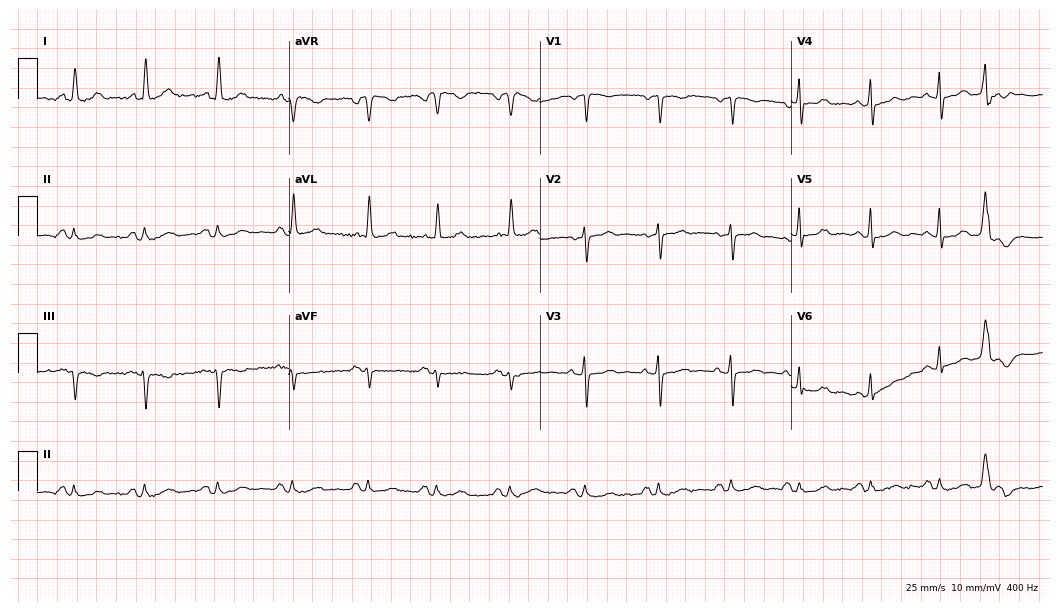
Resting 12-lead electrocardiogram (10.2-second recording at 400 Hz). Patient: a 77-year-old woman. None of these six findings is recorded: first-degree AV block, right bundle branch block, left bundle branch block, sinus bradycardia, atrial fibrillation, sinus tachycardia.